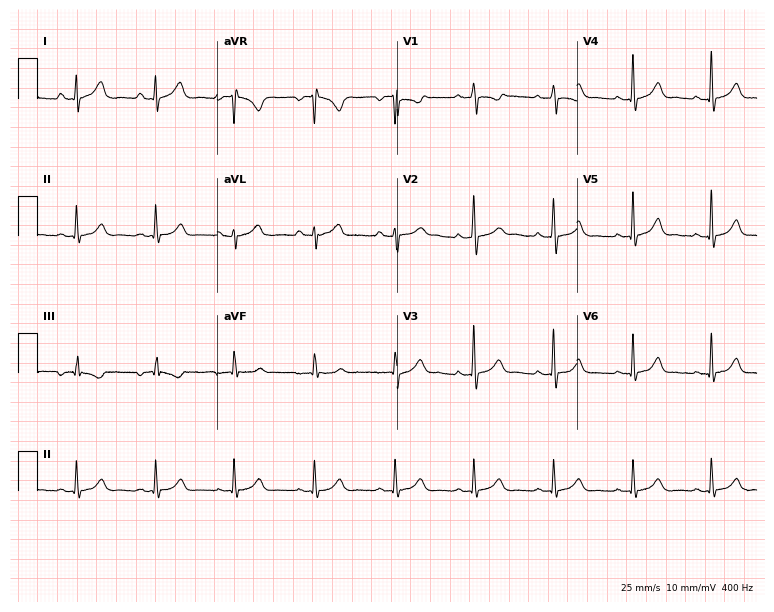
12-lead ECG (7.3-second recording at 400 Hz) from a female, 24 years old. Labelled as a normal ECG.